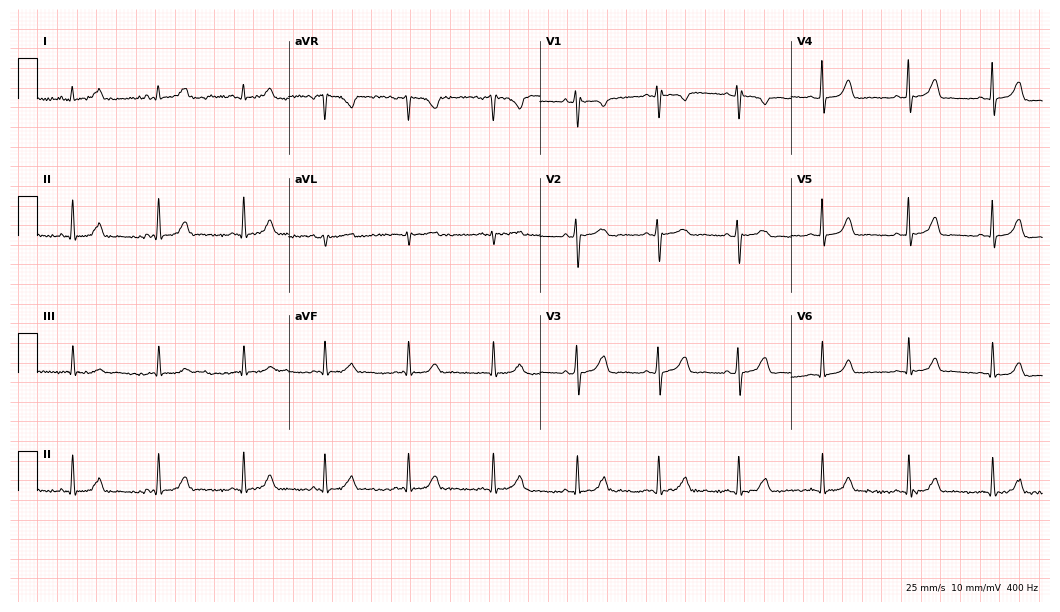
Resting 12-lead electrocardiogram. Patient: a female, 22 years old. None of these six findings is recorded: first-degree AV block, right bundle branch block, left bundle branch block, sinus bradycardia, atrial fibrillation, sinus tachycardia. Other findings, if any, are not listed.